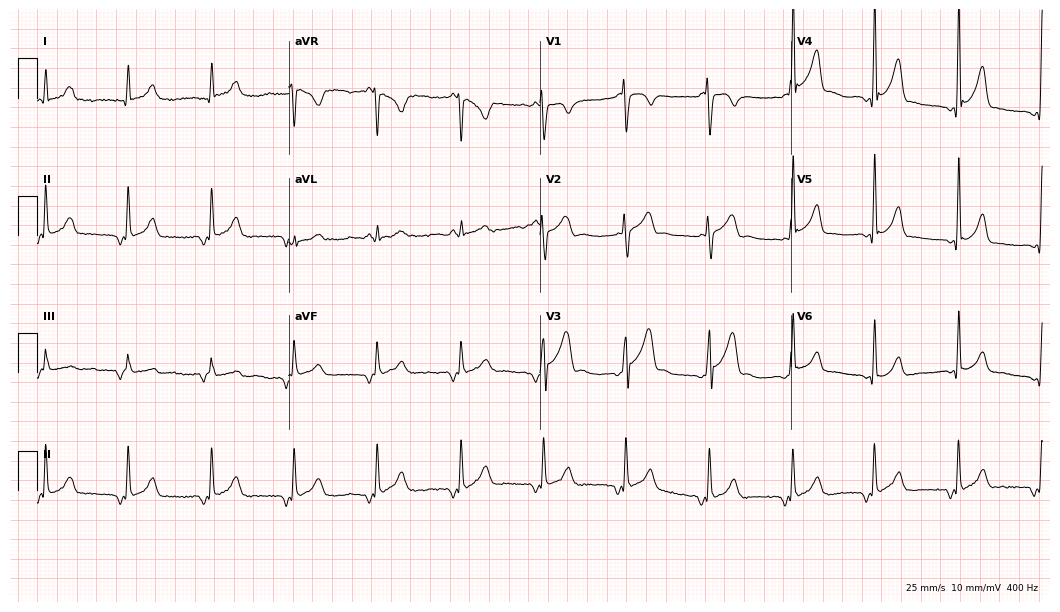
12-lead ECG from a man, 21 years old. Screened for six findings — first-degree AV block, right bundle branch block (RBBB), left bundle branch block (LBBB), sinus bradycardia, atrial fibrillation (AF), sinus tachycardia — none is recorded.